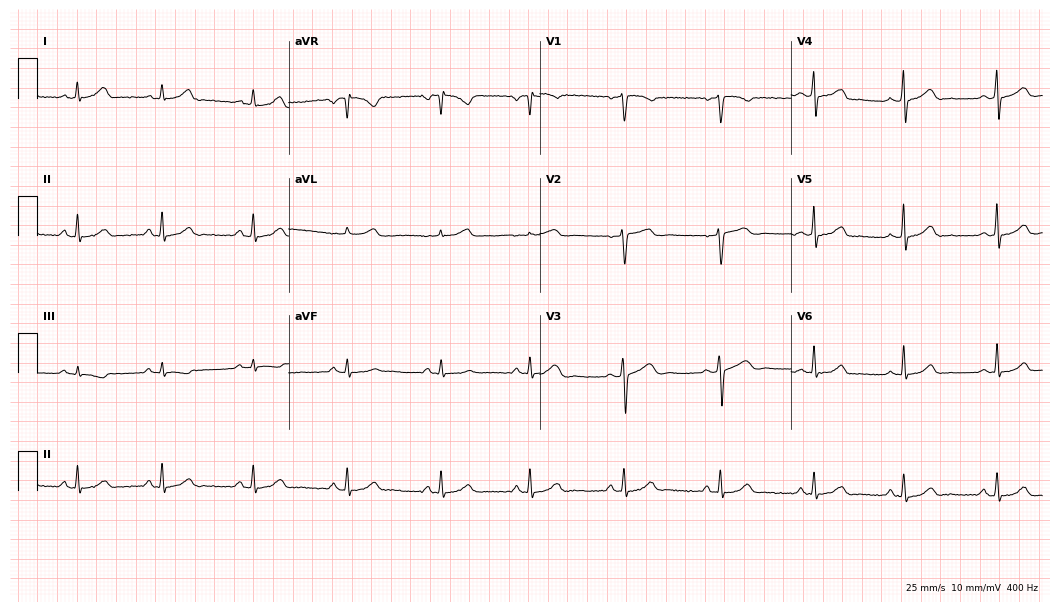
12-lead ECG from a 45-year-old female (10.2-second recording at 400 Hz). Recorded interpretation: within normal limits.